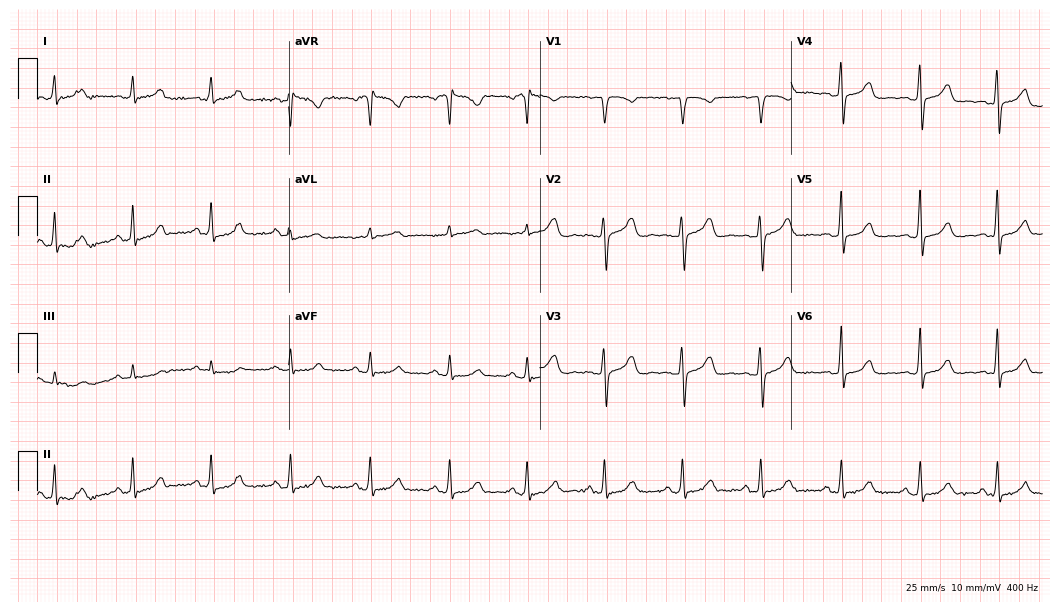
Electrocardiogram (10.2-second recording at 400 Hz), a female, 49 years old. Of the six screened findings (first-degree AV block, right bundle branch block, left bundle branch block, sinus bradycardia, atrial fibrillation, sinus tachycardia), none is recorded.